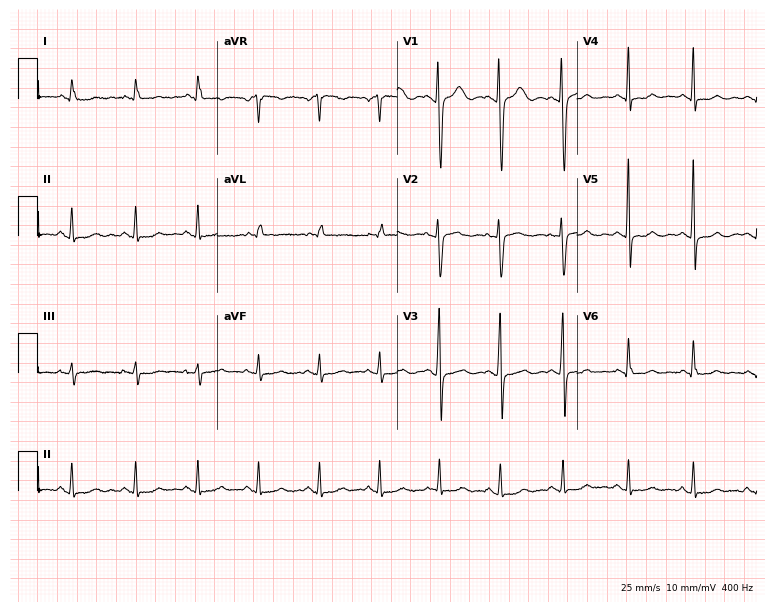
Resting 12-lead electrocardiogram. Patient: a 26-year-old female. None of these six findings is recorded: first-degree AV block, right bundle branch block (RBBB), left bundle branch block (LBBB), sinus bradycardia, atrial fibrillation (AF), sinus tachycardia.